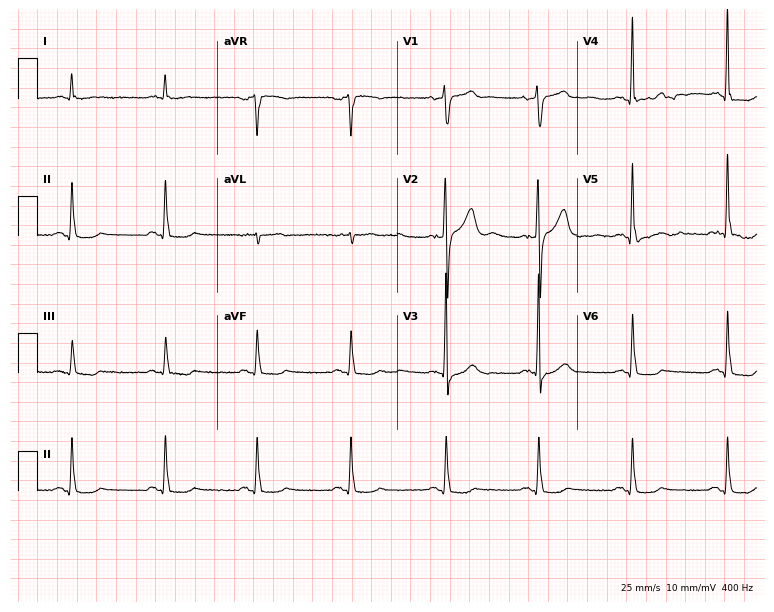
12-lead ECG from a man, 64 years old (7.3-second recording at 400 Hz). No first-degree AV block, right bundle branch block, left bundle branch block, sinus bradycardia, atrial fibrillation or sinus tachycardia recorded for this tracing. Only these six findings were labelled.